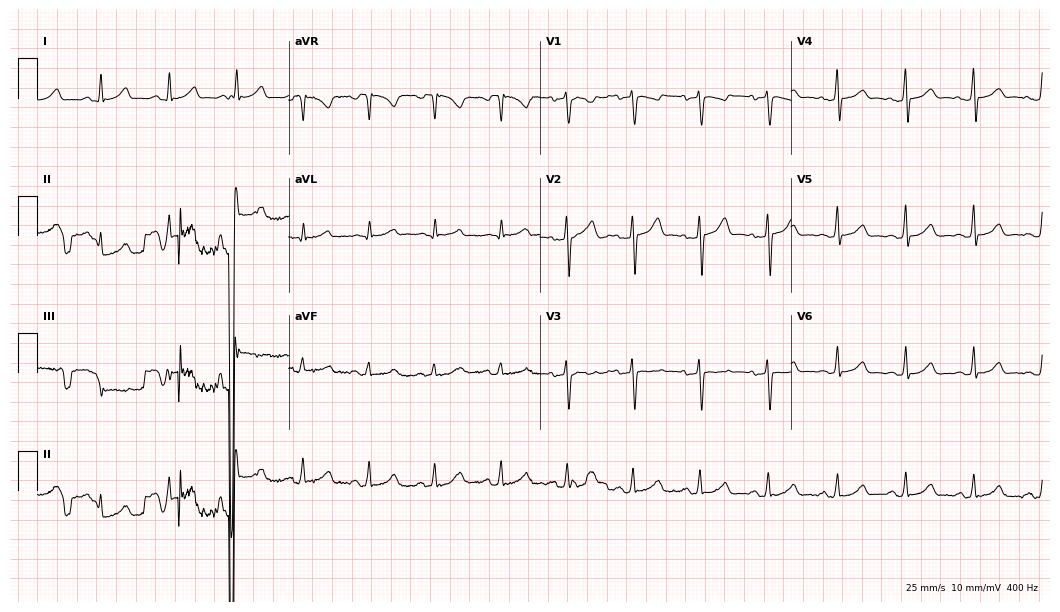
Standard 12-lead ECG recorded from a woman, 39 years old. Read as a normal ECG.